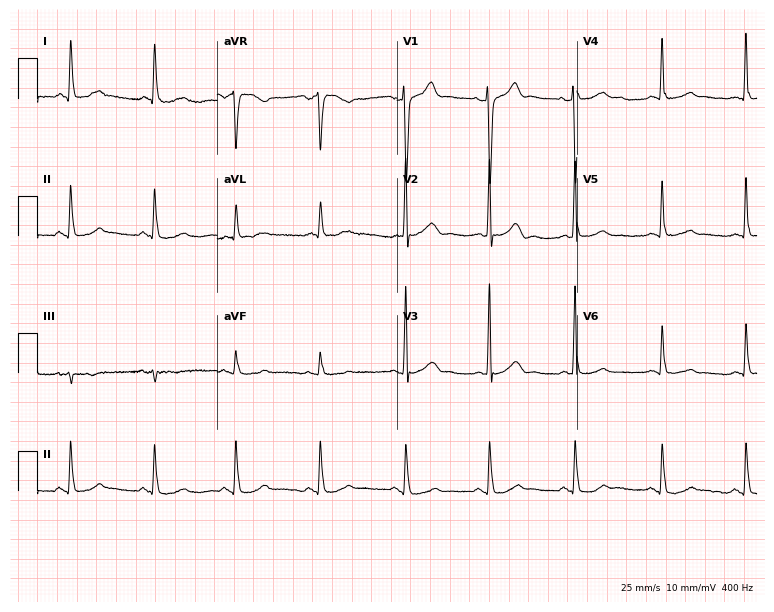
Resting 12-lead electrocardiogram (7.3-second recording at 400 Hz). Patient: a man, 61 years old. Read as a normal ECG.